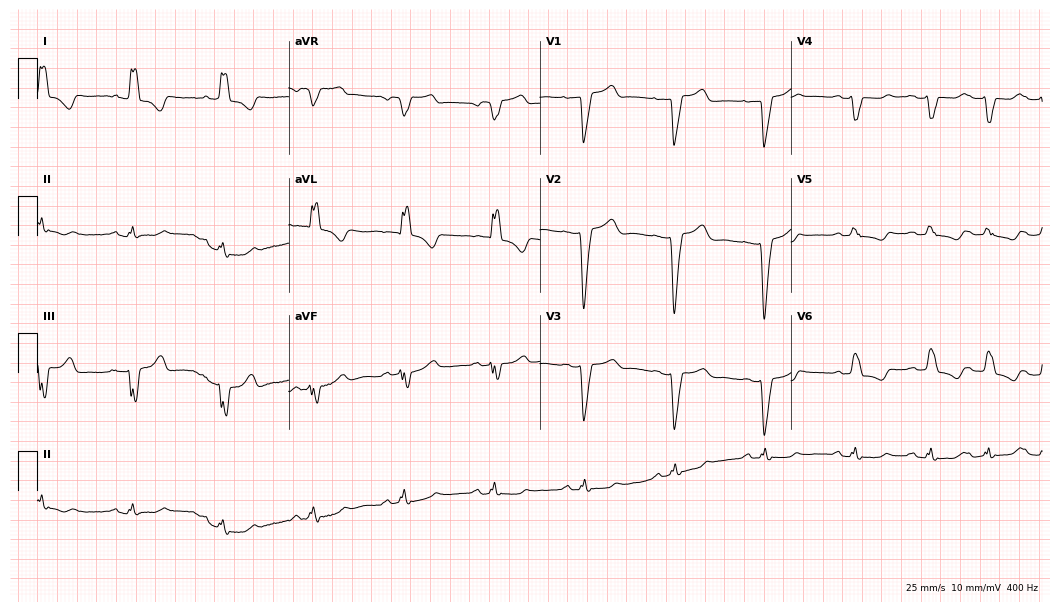
Electrocardiogram, a female, 74 years old. Interpretation includes left bundle branch block (LBBB).